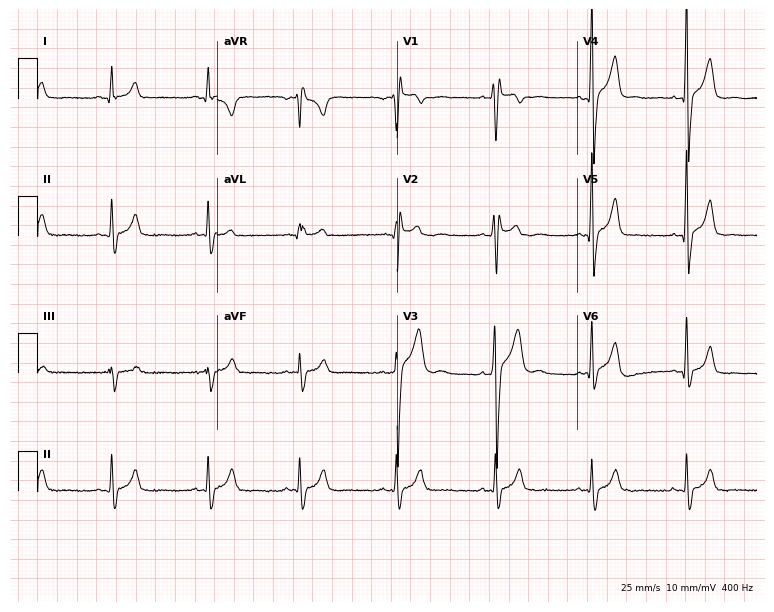
Standard 12-lead ECG recorded from a 24-year-old male patient (7.3-second recording at 400 Hz). The tracing shows right bundle branch block (RBBB).